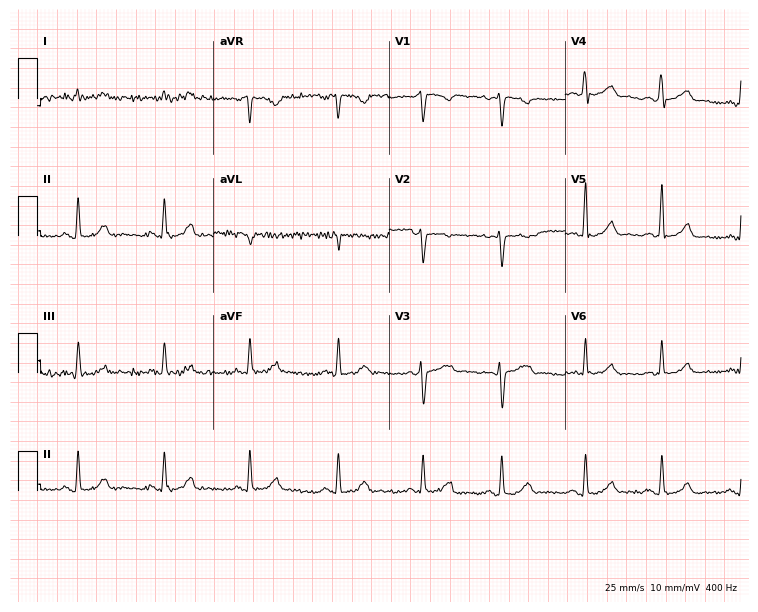
ECG — a woman, 32 years old. Screened for six findings — first-degree AV block, right bundle branch block, left bundle branch block, sinus bradycardia, atrial fibrillation, sinus tachycardia — none is recorded. Findings outside these six are not listed.